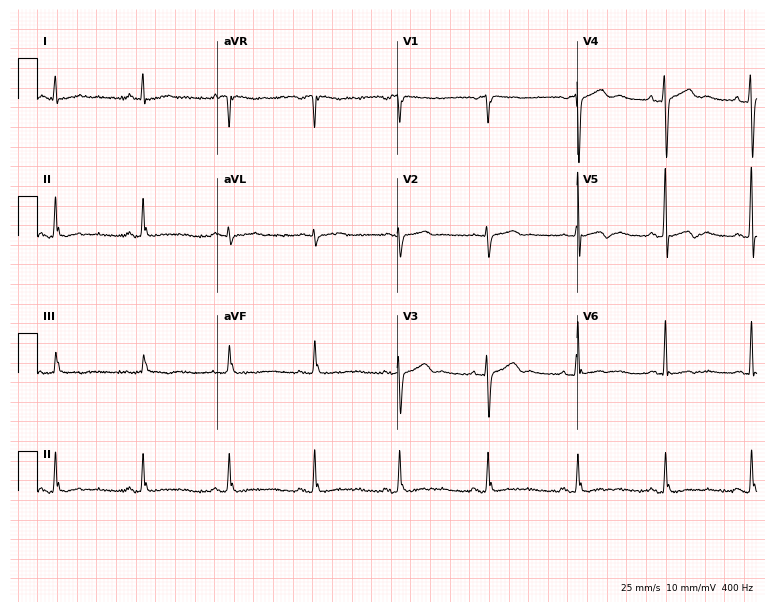
Electrocardiogram (7.3-second recording at 400 Hz), a female, 46 years old. Of the six screened findings (first-degree AV block, right bundle branch block, left bundle branch block, sinus bradycardia, atrial fibrillation, sinus tachycardia), none is recorded.